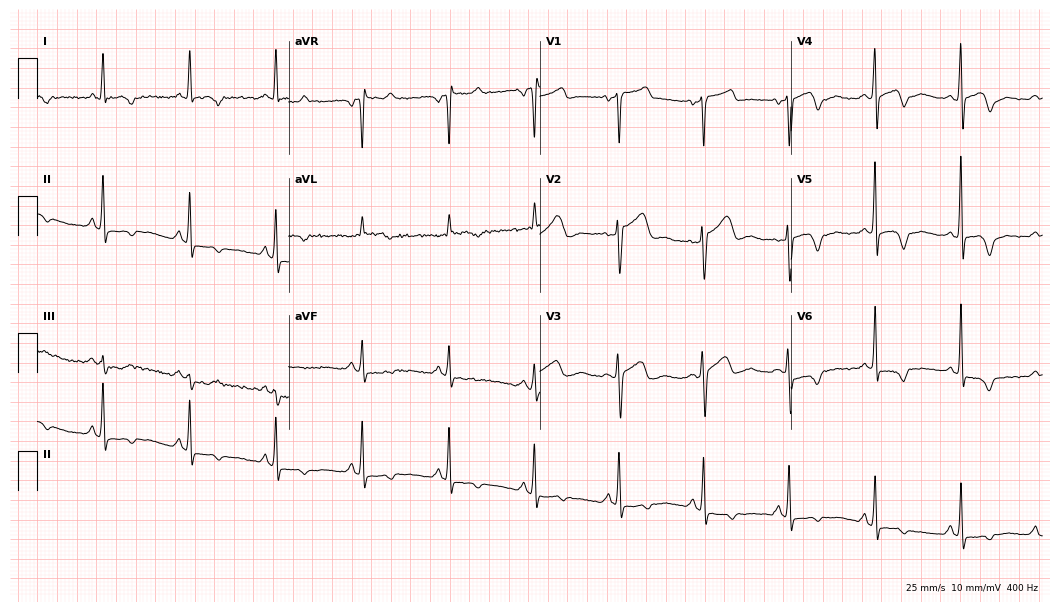
Electrocardiogram, a 61-year-old female. Of the six screened findings (first-degree AV block, right bundle branch block (RBBB), left bundle branch block (LBBB), sinus bradycardia, atrial fibrillation (AF), sinus tachycardia), none is recorded. Other findings, if any, are not listed.